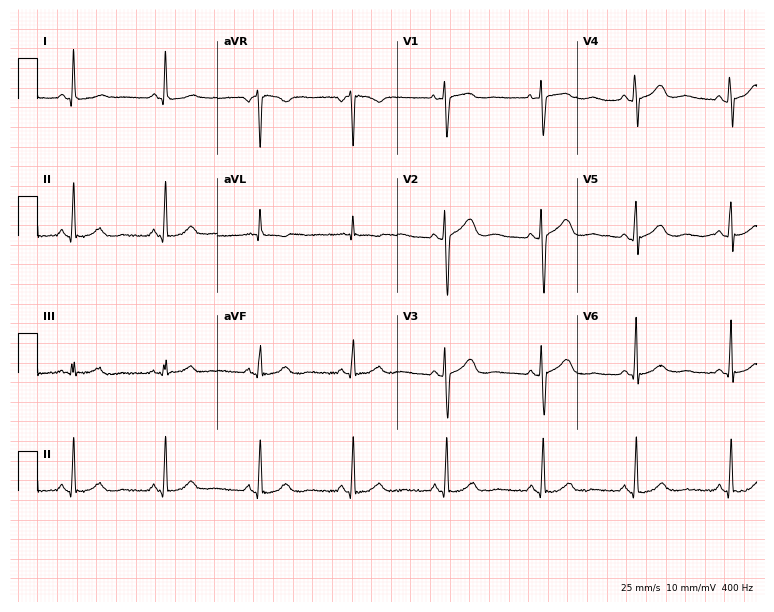
ECG (7.3-second recording at 400 Hz) — a female, 48 years old. Labelled as a normal ECG.